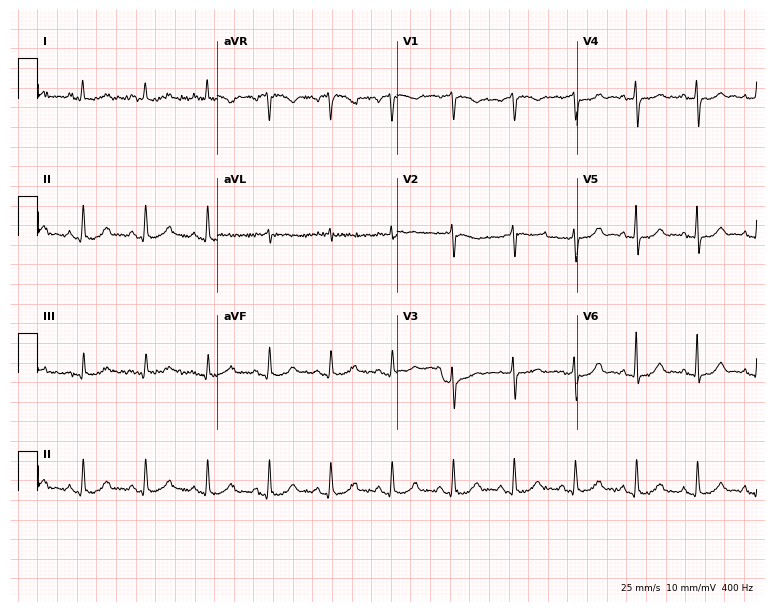
12-lead ECG from a 68-year-old female (7.3-second recording at 400 Hz). No first-degree AV block, right bundle branch block, left bundle branch block, sinus bradycardia, atrial fibrillation or sinus tachycardia recorded for this tracing.